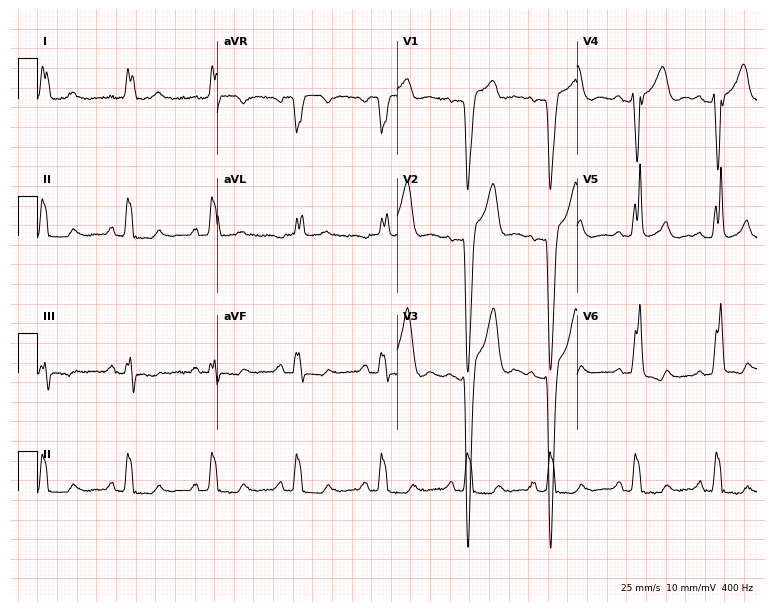
Resting 12-lead electrocardiogram. Patient: a 78-year-old female. The tracing shows left bundle branch block (LBBB).